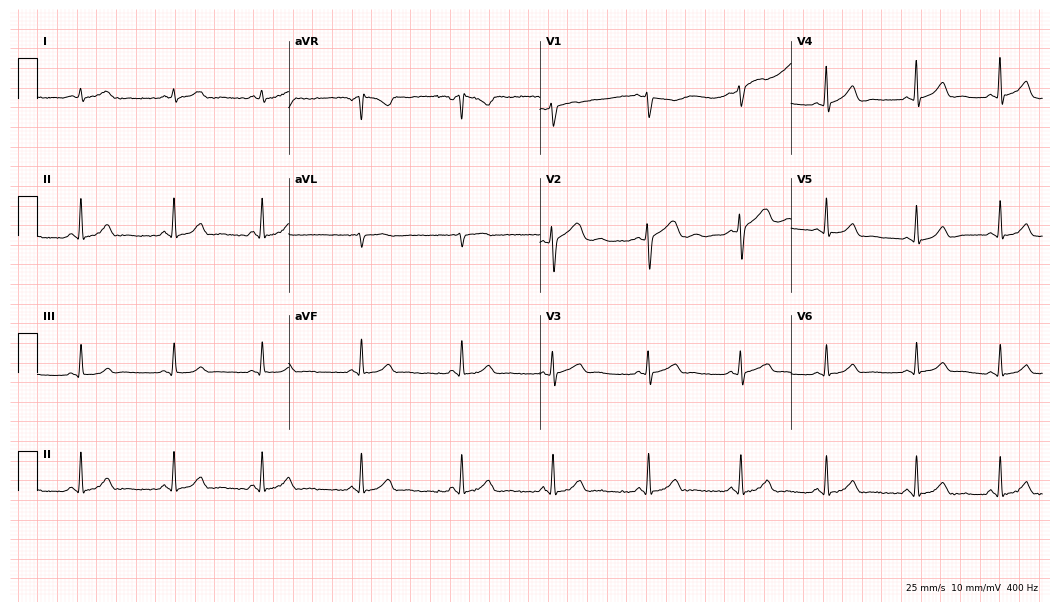
Standard 12-lead ECG recorded from a 21-year-old female patient. Read as a normal ECG.